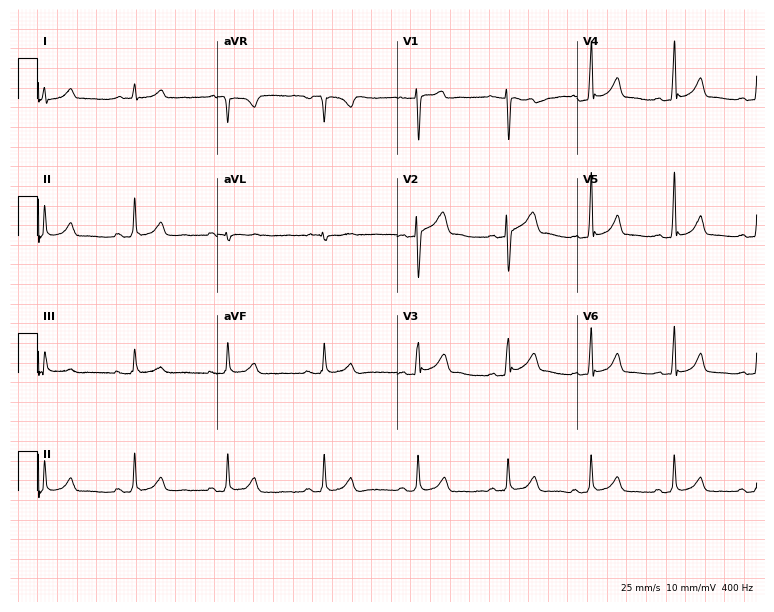
Resting 12-lead electrocardiogram. Patient: a man, 25 years old. None of these six findings is recorded: first-degree AV block, right bundle branch block (RBBB), left bundle branch block (LBBB), sinus bradycardia, atrial fibrillation (AF), sinus tachycardia.